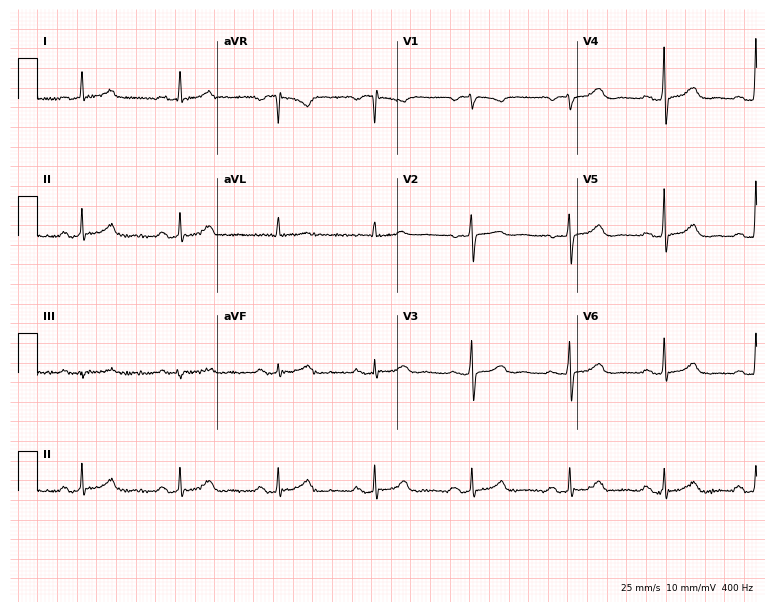
12-lead ECG from a 74-year-old female. No first-degree AV block, right bundle branch block (RBBB), left bundle branch block (LBBB), sinus bradycardia, atrial fibrillation (AF) or sinus tachycardia recorded for this tracing. Other findings, if any, are not listed.